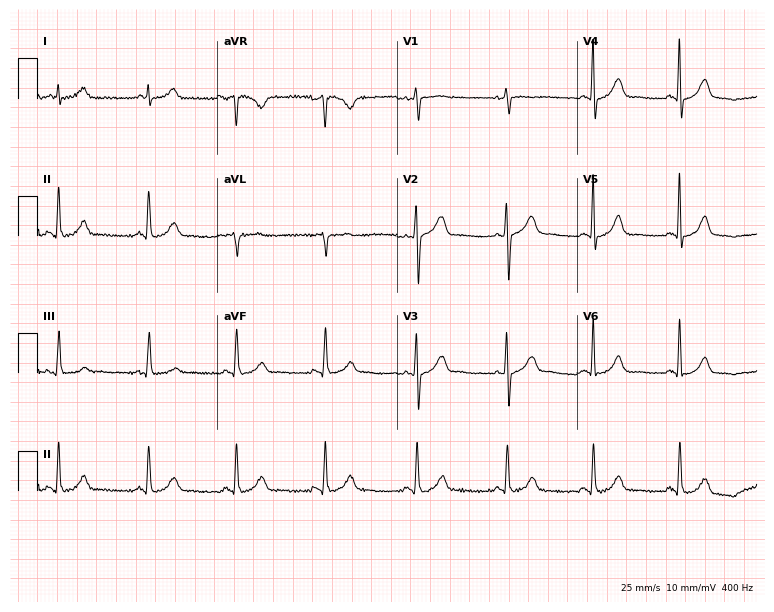
12-lead ECG from a male, 37 years old. No first-degree AV block, right bundle branch block (RBBB), left bundle branch block (LBBB), sinus bradycardia, atrial fibrillation (AF) or sinus tachycardia recorded for this tracing.